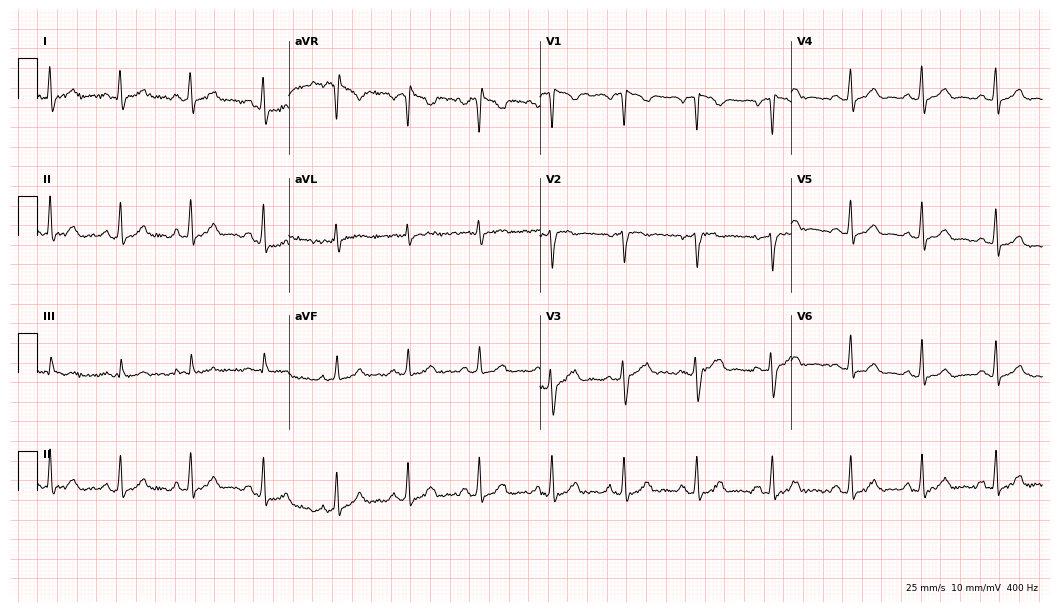
12-lead ECG from a female, 34 years old (10.2-second recording at 400 Hz). No first-degree AV block, right bundle branch block, left bundle branch block, sinus bradycardia, atrial fibrillation or sinus tachycardia recorded for this tracing.